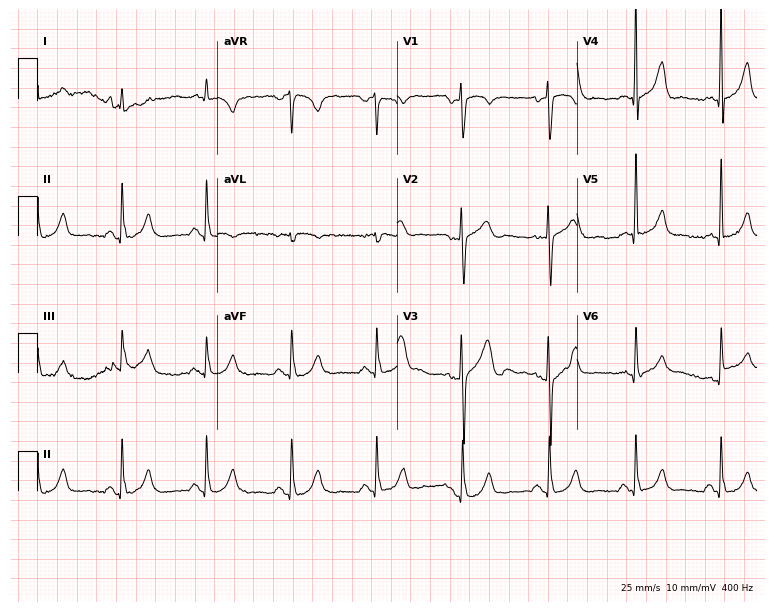
12-lead ECG from a 58-year-old male (7.3-second recording at 400 Hz). Recorded interpretation: within normal limits.